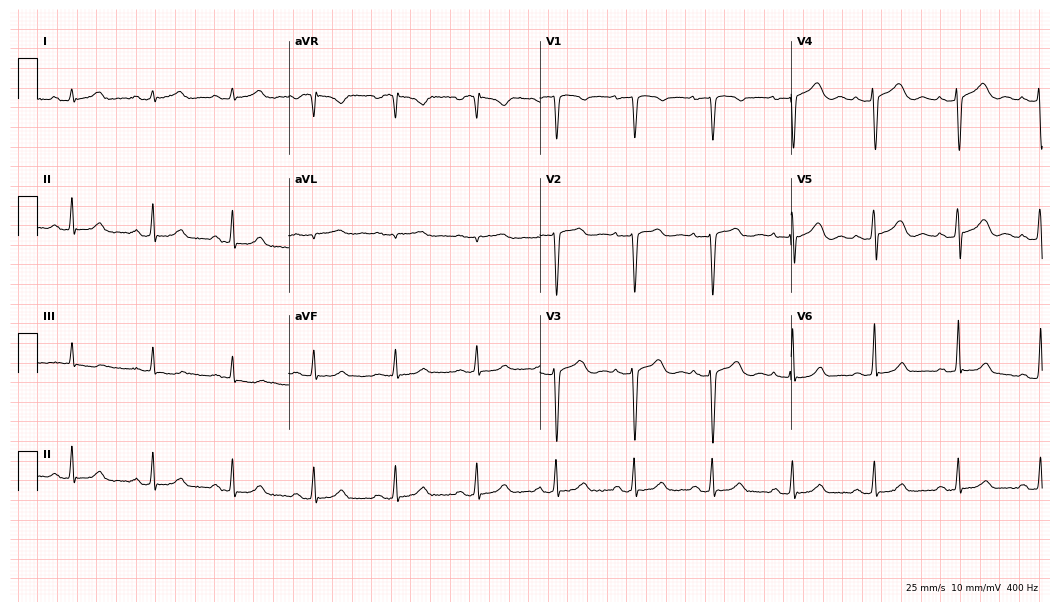
Standard 12-lead ECG recorded from a female patient, 38 years old. Read as a normal ECG.